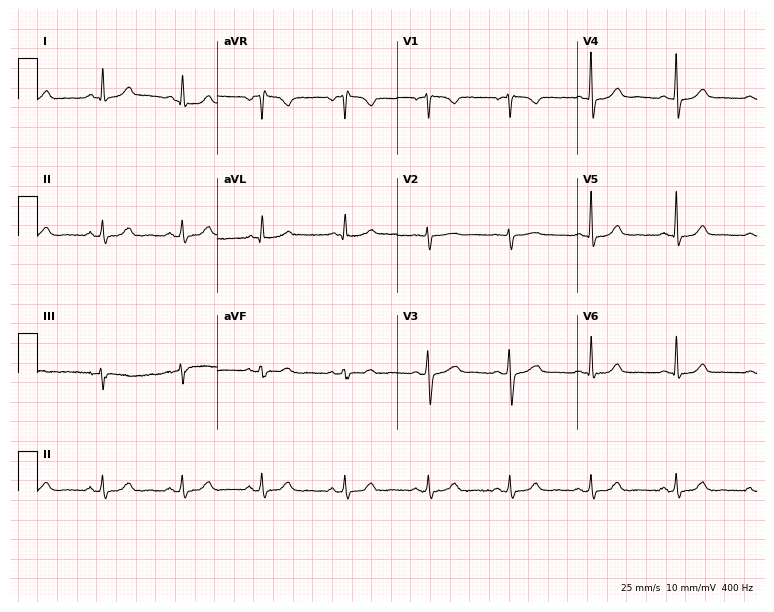
Electrocardiogram, a 38-year-old female patient. Overall reading on record: normal ECG.